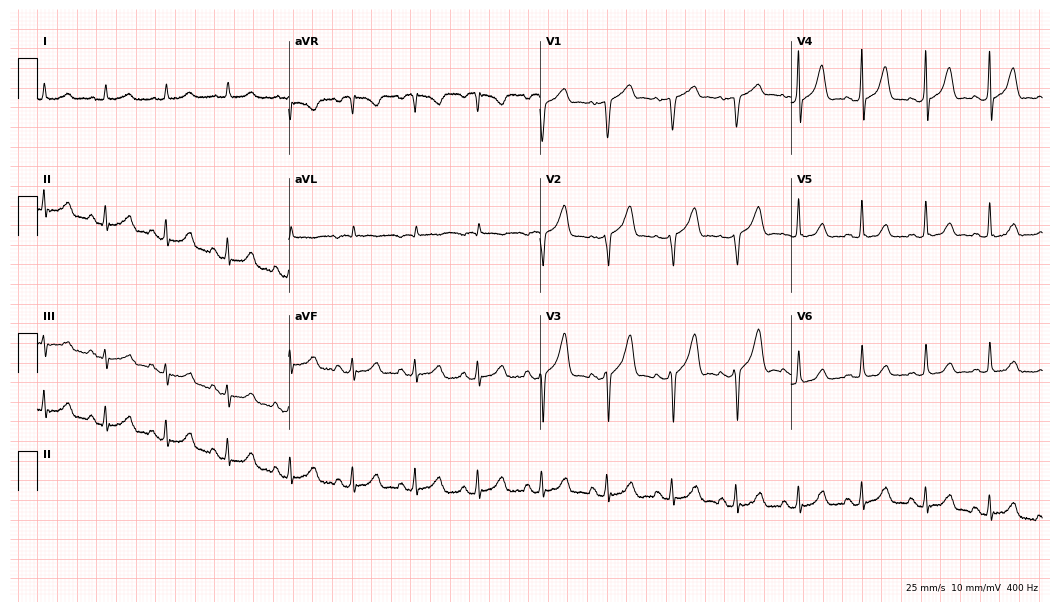
Resting 12-lead electrocardiogram (10.2-second recording at 400 Hz). Patient: a 66-year-old male. None of these six findings is recorded: first-degree AV block, right bundle branch block (RBBB), left bundle branch block (LBBB), sinus bradycardia, atrial fibrillation (AF), sinus tachycardia.